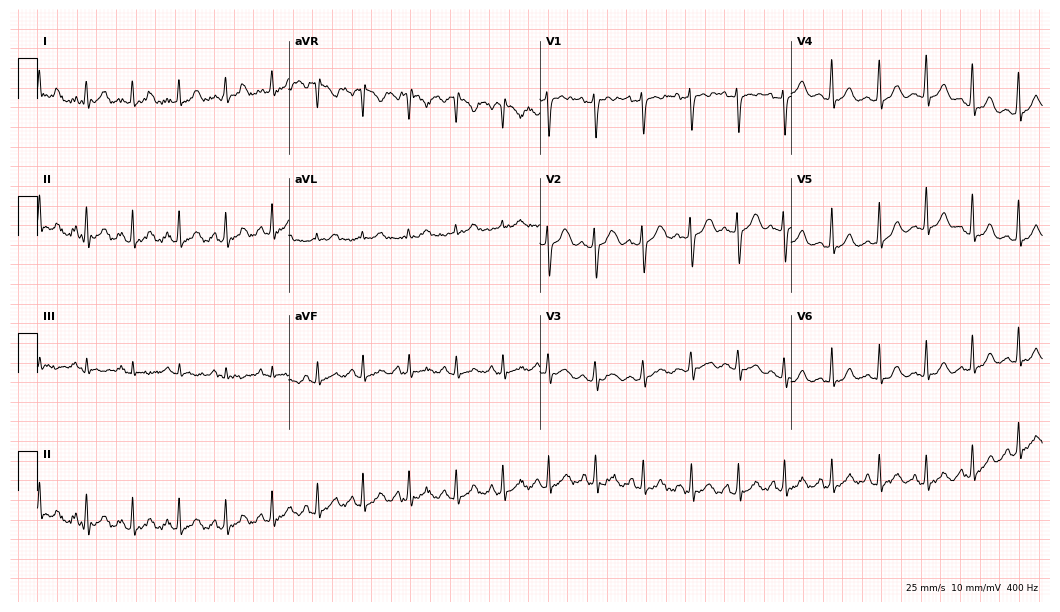
ECG — a female, 17 years old. Screened for six findings — first-degree AV block, right bundle branch block, left bundle branch block, sinus bradycardia, atrial fibrillation, sinus tachycardia — none is recorded.